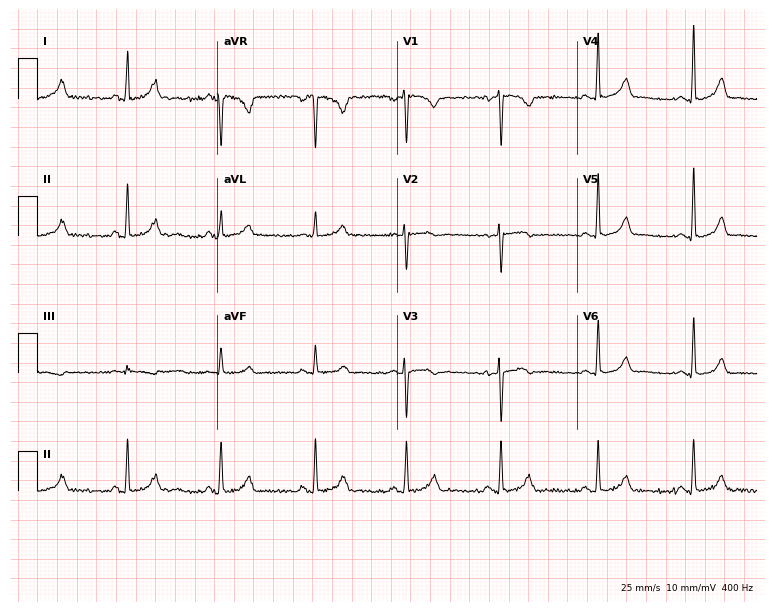
12-lead ECG (7.3-second recording at 400 Hz) from a female, 37 years old. Labelled as a normal ECG.